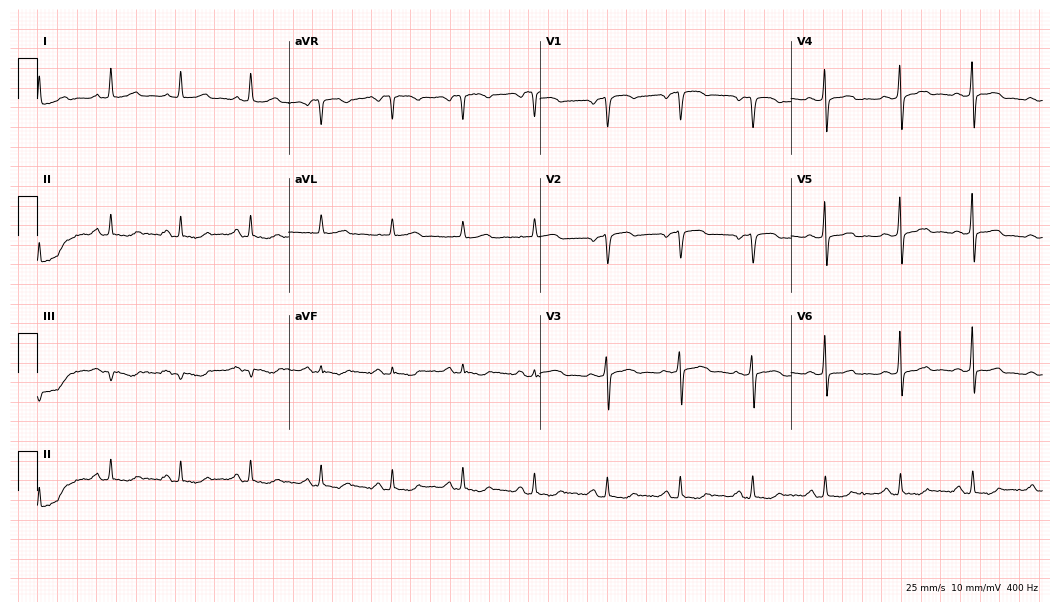
12-lead ECG from a 48-year-old female patient. No first-degree AV block, right bundle branch block, left bundle branch block, sinus bradycardia, atrial fibrillation or sinus tachycardia recorded for this tracing.